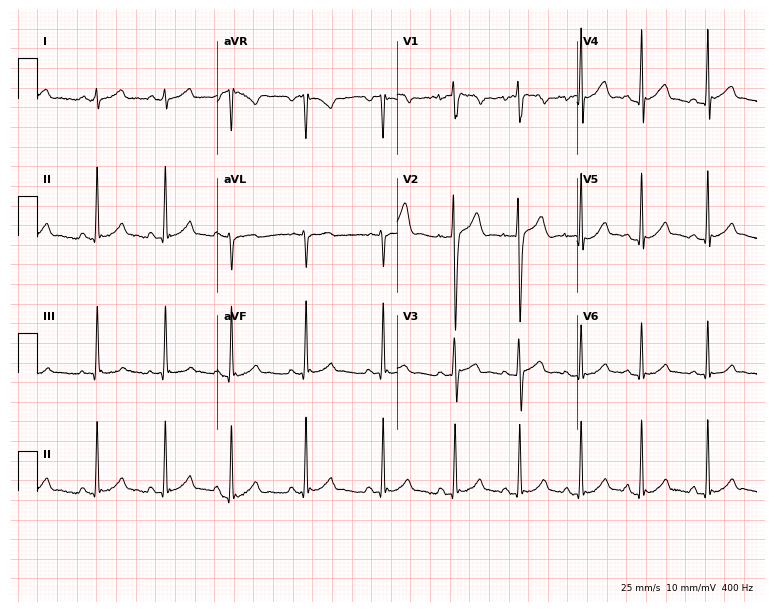
12-lead ECG (7.3-second recording at 400 Hz) from a man, 17 years old. Screened for six findings — first-degree AV block, right bundle branch block, left bundle branch block, sinus bradycardia, atrial fibrillation, sinus tachycardia — none is recorded. Findings outside these six are not listed.